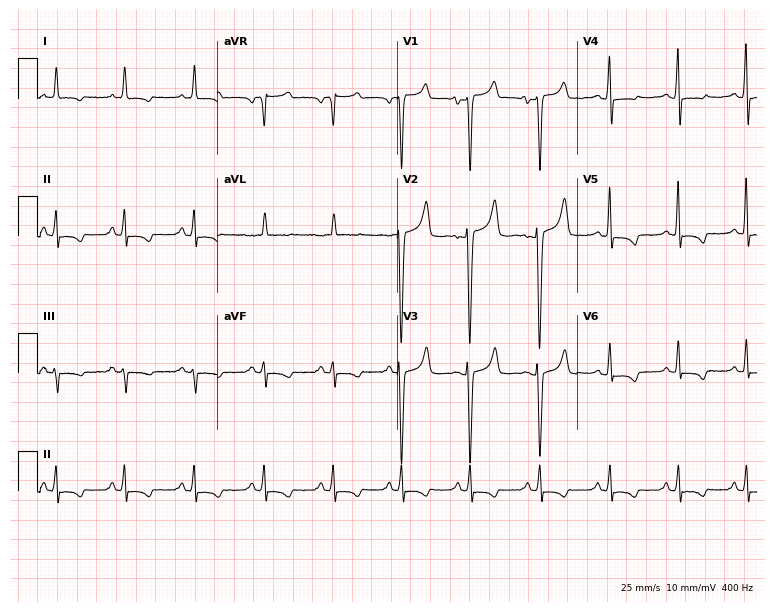
Electrocardiogram (7.3-second recording at 400 Hz), a man, 51 years old. Of the six screened findings (first-degree AV block, right bundle branch block (RBBB), left bundle branch block (LBBB), sinus bradycardia, atrial fibrillation (AF), sinus tachycardia), none is recorded.